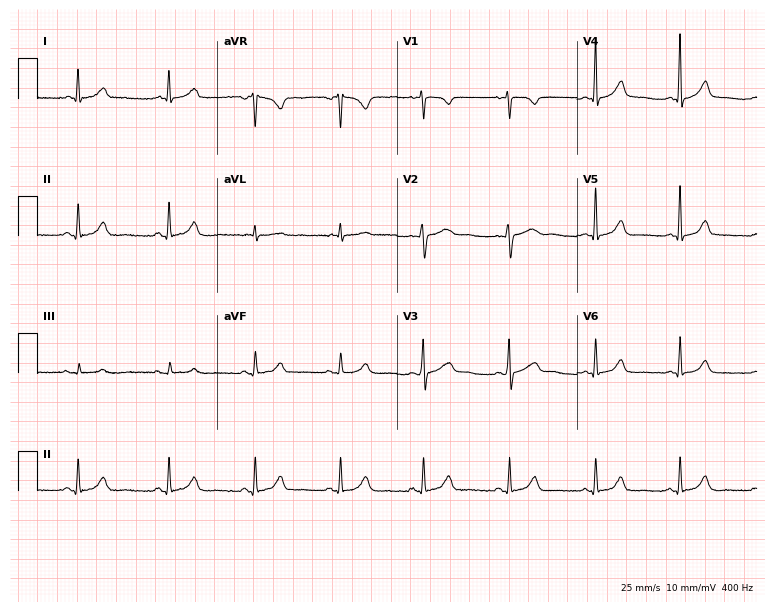
Resting 12-lead electrocardiogram. Patient: a 44-year-old female. None of these six findings is recorded: first-degree AV block, right bundle branch block (RBBB), left bundle branch block (LBBB), sinus bradycardia, atrial fibrillation (AF), sinus tachycardia. Other findings, if any, are not listed.